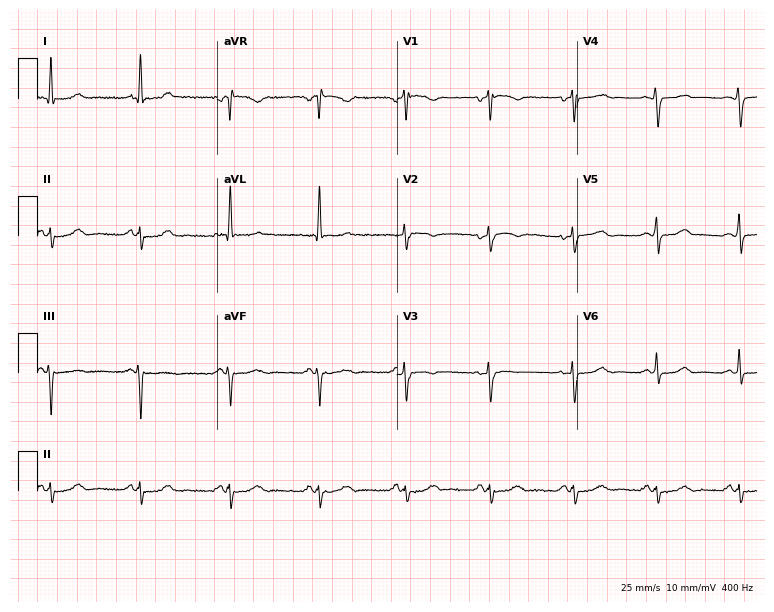
Standard 12-lead ECG recorded from a 73-year-old woman. None of these six findings is recorded: first-degree AV block, right bundle branch block (RBBB), left bundle branch block (LBBB), sinus bradycardia, atrial fibrillation (AF), sinus tachycardia. Other findings, if any, are not listed.